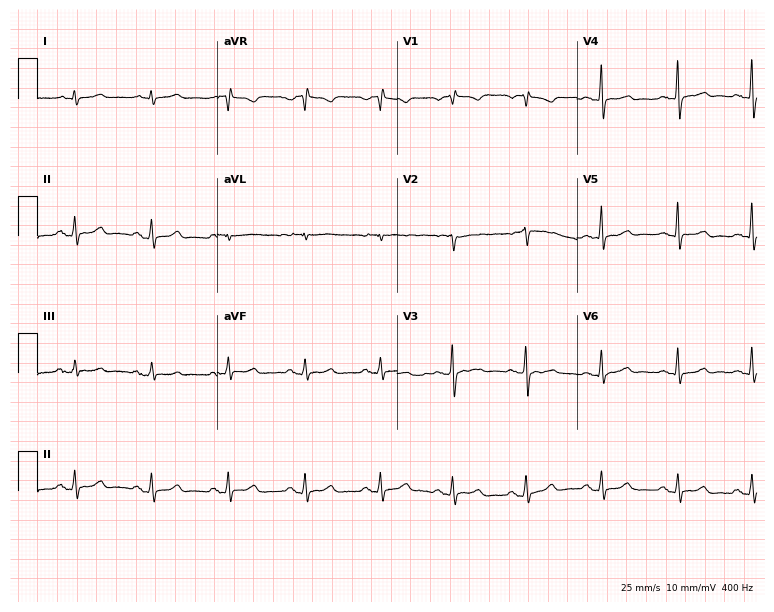
Standard 12-lead ECG recorded from a woman, 49 years old (7.3-second recording at 400 Hz). Read as a normal ECG.